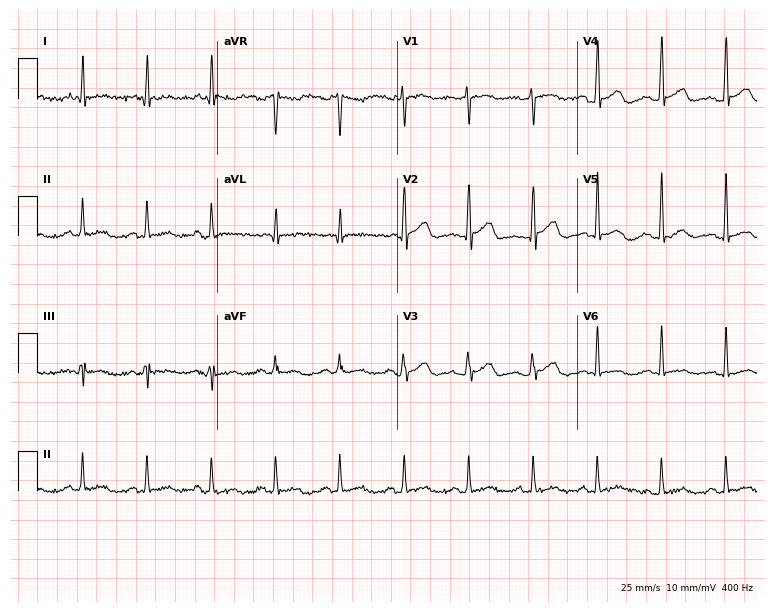
12-lead ECG from a 45-year-old male patient. Screened for six findings — first-degree AV block, right bundle branch block, left bundle branch block, sinus bradycardia, atrial fibrillation, sinus tachycardia — none is recorded.